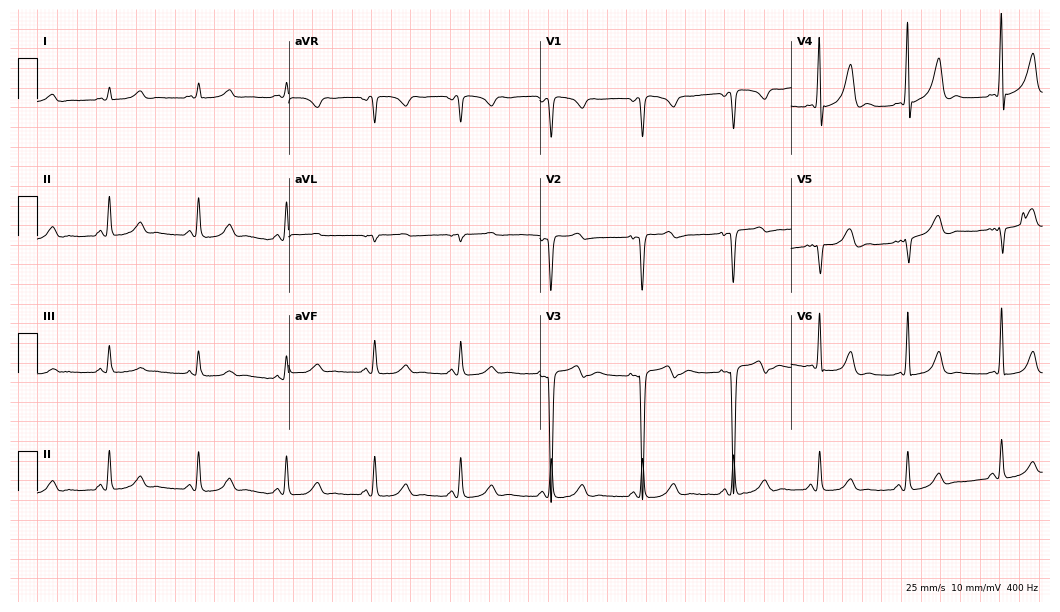
12-lead ECG from a female, 44 years old (10.2-second recording at 400 Hz). No first-degree AV block, right bundle branch block (RBBB), left bundle branch block (LBBB), sinus bradycardia, atrial fibrillation (AF) or sinus tachycardia recorded for this tracing.